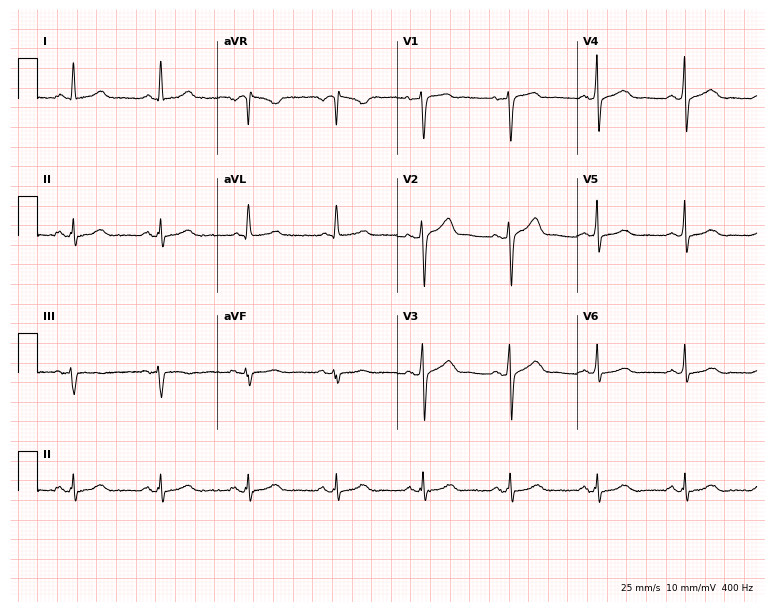
Resting 12-lead electrocardiogram (7.3-second recording at 400 Hz). Patient: a 66-year-old woman. Read as a normal ECG.